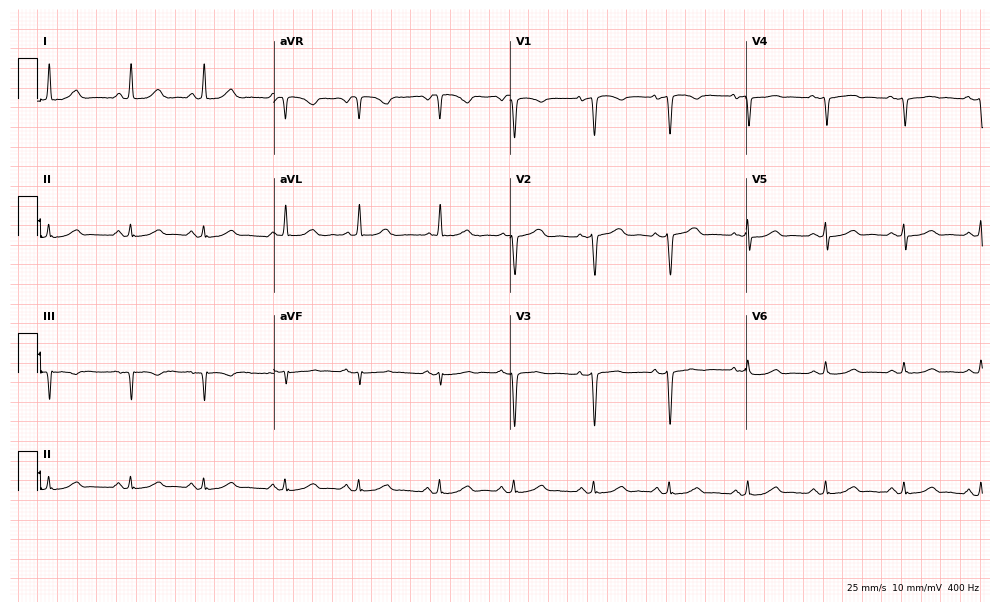
Resting 12-lead electrocardiogram (9.6-second recording at 400 Hz). Patient: a woman, 85 years old. Read as a normal ECG.